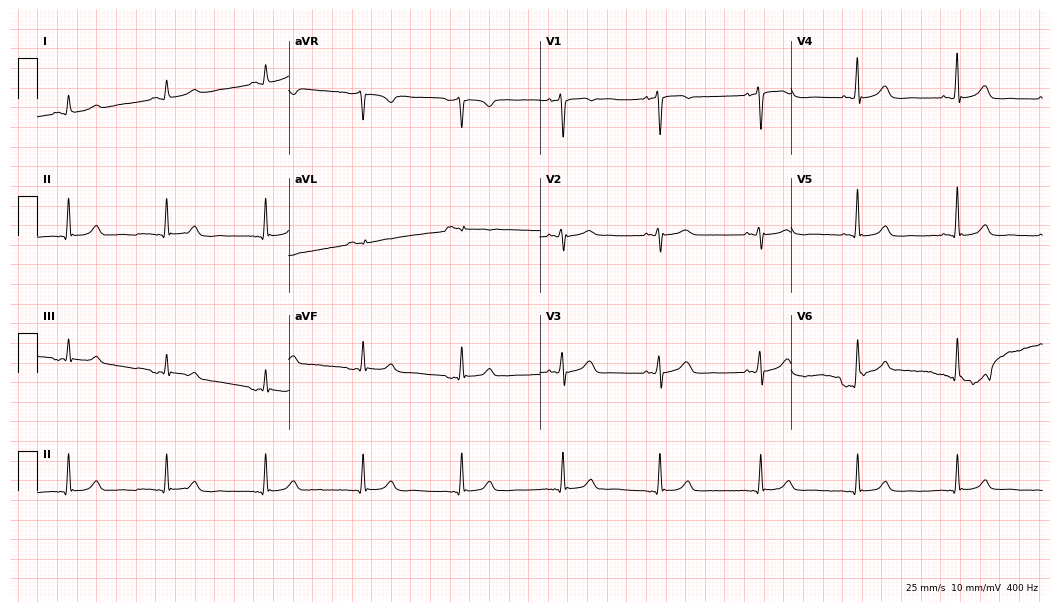
12-lead ECG from a male, 73 years old. Screened for six findings — first-degree AV block, right bundle branch block, left bundle branch block, sinus bradycardia, atrial fibrillation, sinus tachycardia — none is recorded. Other findings, if any, are not listed.